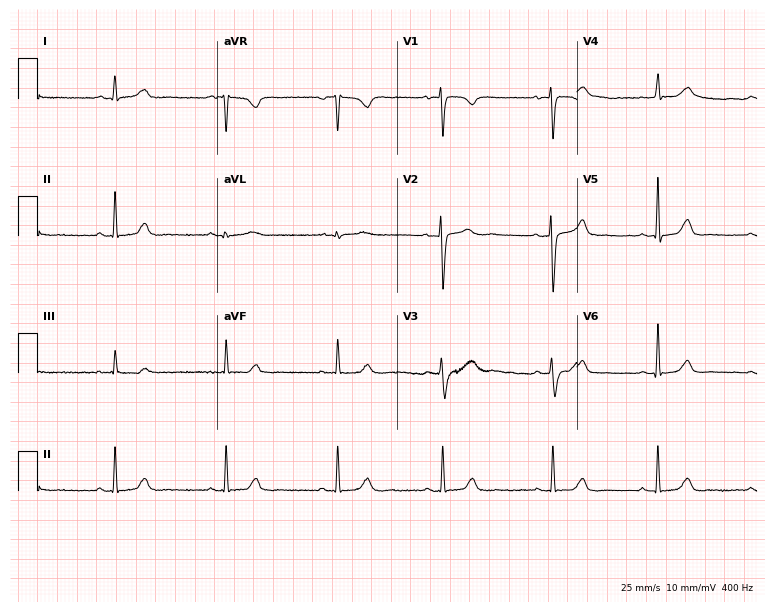
Electrocardiogram (7.3-second recording at 400 Hz), a 42-year-old female patient. Overall reading on record: normal ECG.